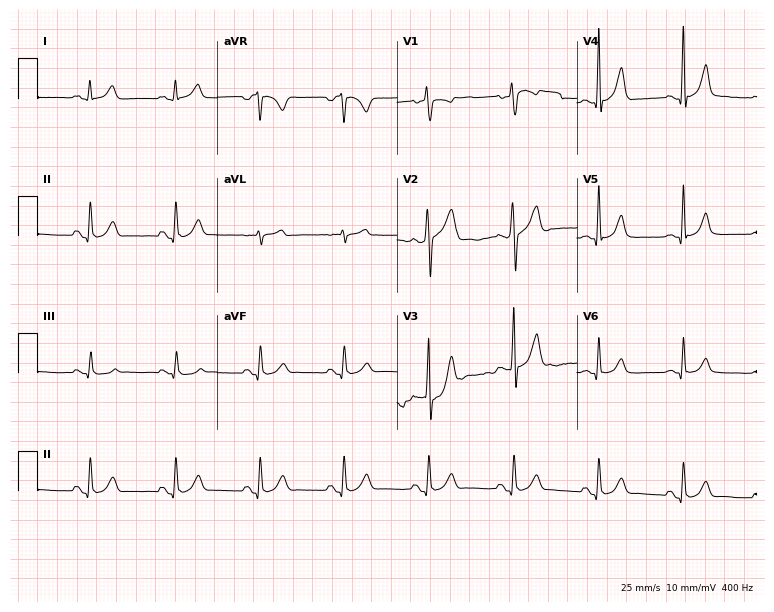
Electrocardiogram, a 49-year-old male patient. Of the six screened findings (first-degree AV block, right bundle branch block, left bundle branch block, sinus bradycardia, atrial fibrillation, sinus tachycardia), none is recorded. Other findings, if any, are not listed.